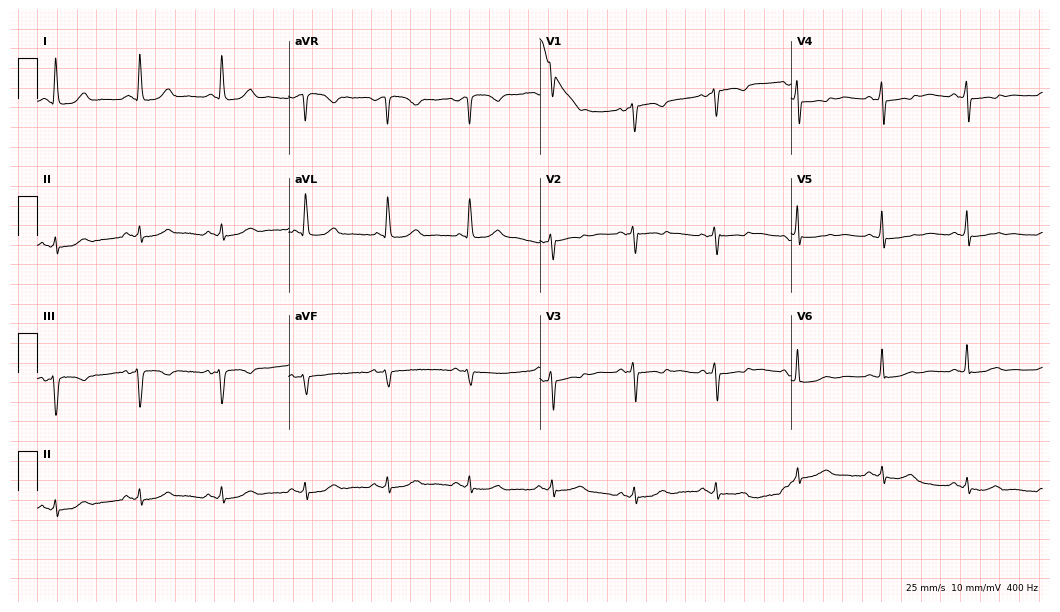
Resting 12-lead electrocardiogram. Patient: a 68-year-old female. Read as a normal ECG.